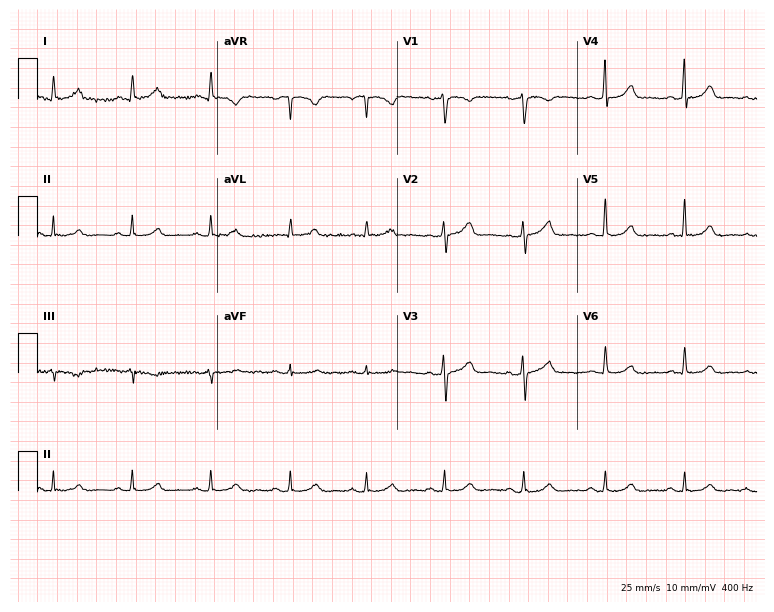
Electrocardiogram, a woman, 30 years old. Of the six screened findings (first-degree AV block, right bundle branch block, left bundle branch block, sinus bradycardia, atrial fibrillation, sinus tachycardia), none is recorded. Other findings, if any, are not listed.